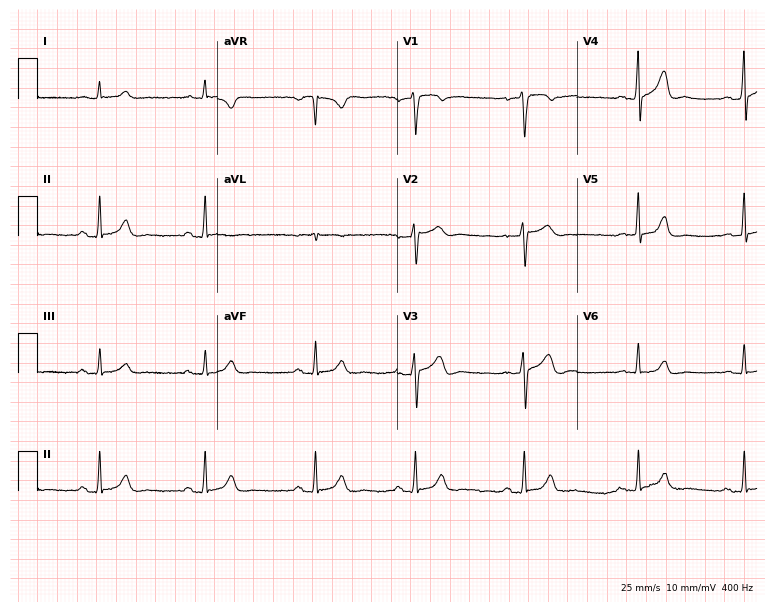
Electrocardiogram, a man, 44 years old. Overall reading on record: normal ECG.